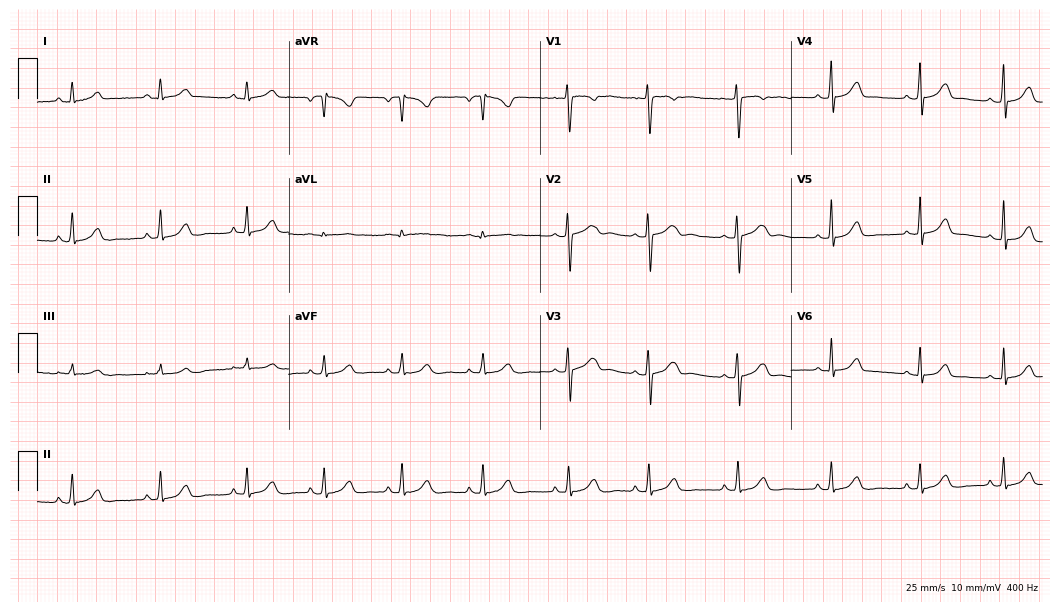
12-lead ECG from an 18-year-old woman. No first-degree AV block, right bundle branch block, left bundle branch block, sinus bradycardia, atrial fibrillation or sinus tachycardia recorded for this tracing. Other findings, if any, are not listed.